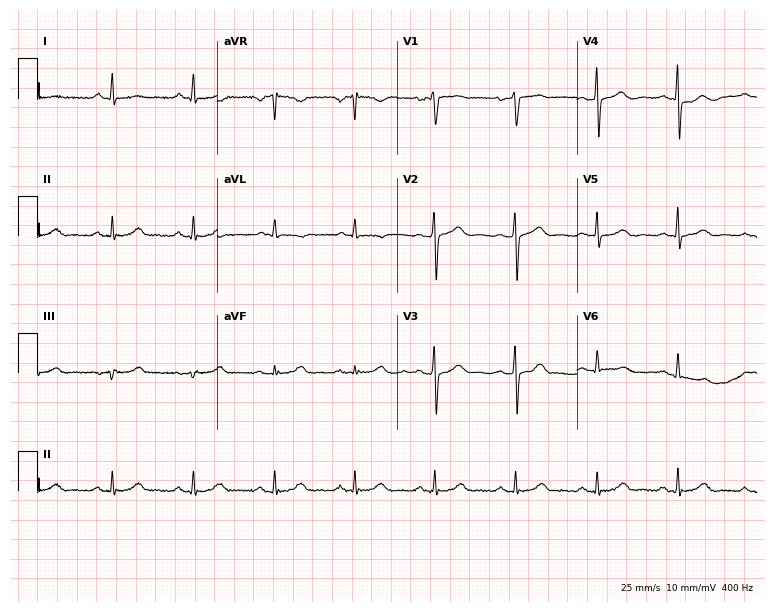
ECG (7.3-second recording at 400 Hz) — a female, 50 years old. Screened for six findings — first-degree AV block, right bundle branch block, left bundle branch block, sinus bradycardia, atrial fibrillation, sinus tachycardia — none is recorded. Findings outside these six are not listed.